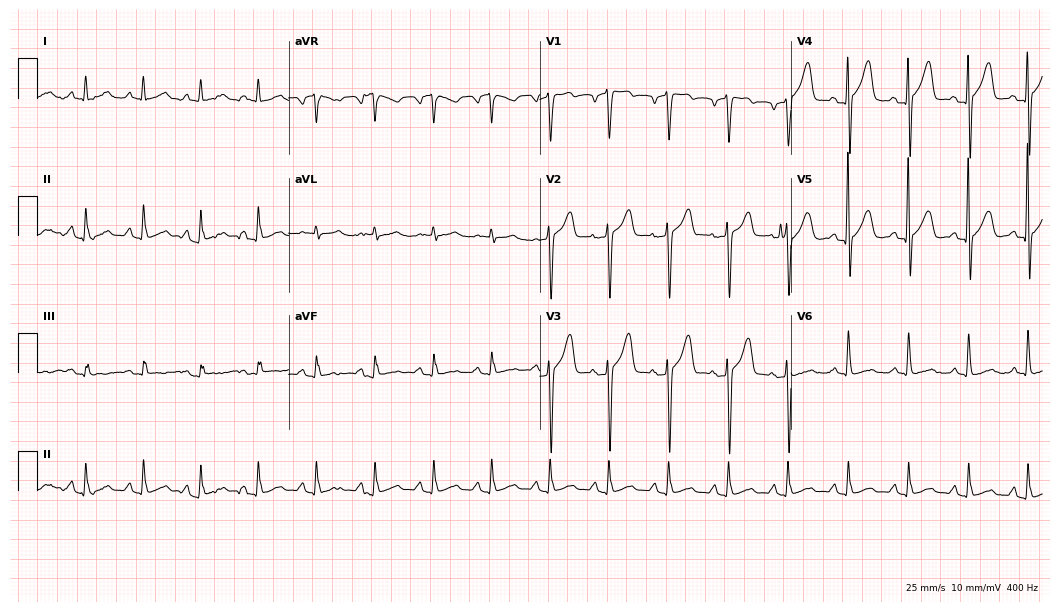
Electrocardiogram, a male patient, 56 years old. Overall reading on record: normal ECG.